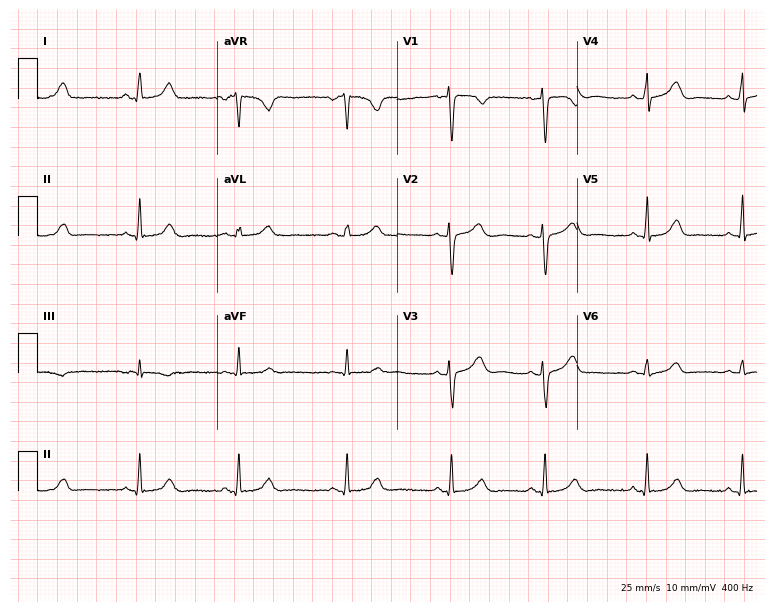
Electrocardiogram (7.3-second recording at 400 Hz), a 22-year-old female patient. Overall reading on record: normal ECG.